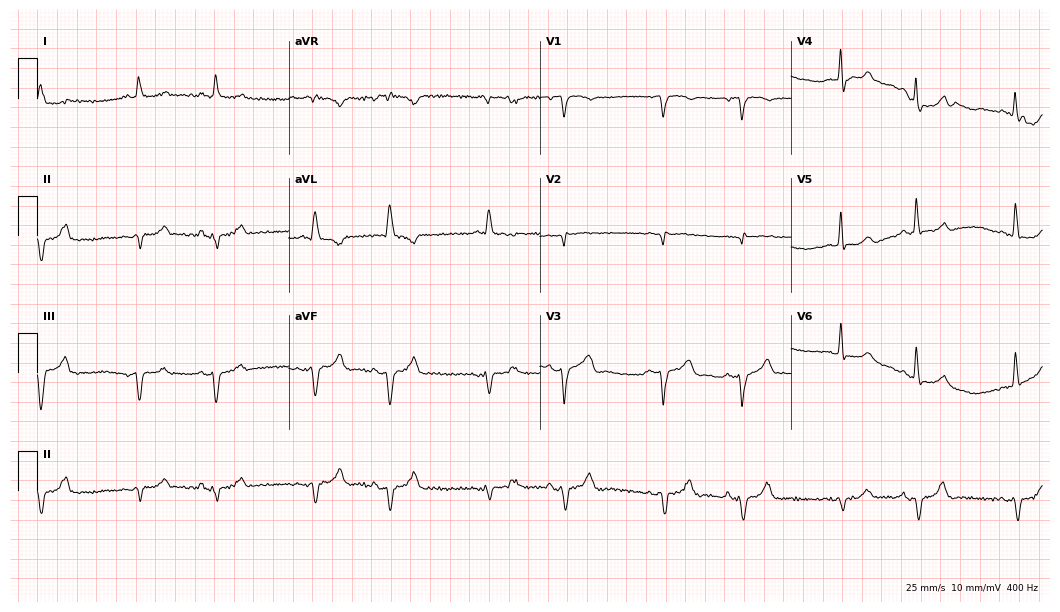
Electrocardiogram, a male, 72 years old. Of the six screened findings (first-degree AV block, right bundle branch block, left bundle branch block, sinus bradycardia, atrial fibrillation, sinus tachycardia), none is recorded. Findings outside these six are not listed.